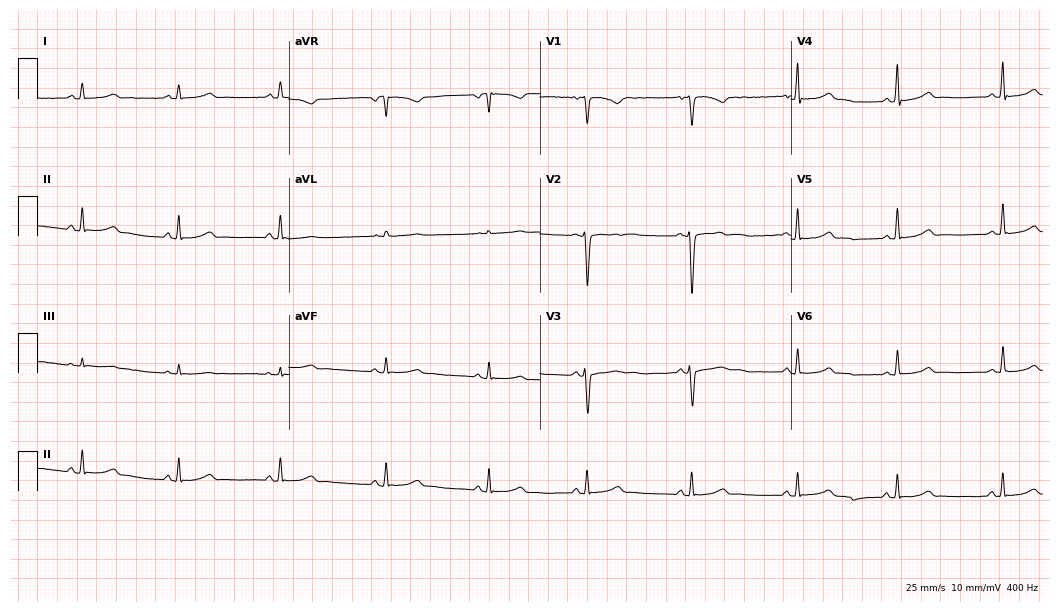
Standard 12-lead ECG recorded from a 23-year-old female patient. None of these six findings is recorded: first-degree AV block, right bundle branch block, left bundle branch block, sinus bradycardia, atrial fibrillation, sinus tachycardia. Other findings, if any, are not listed.